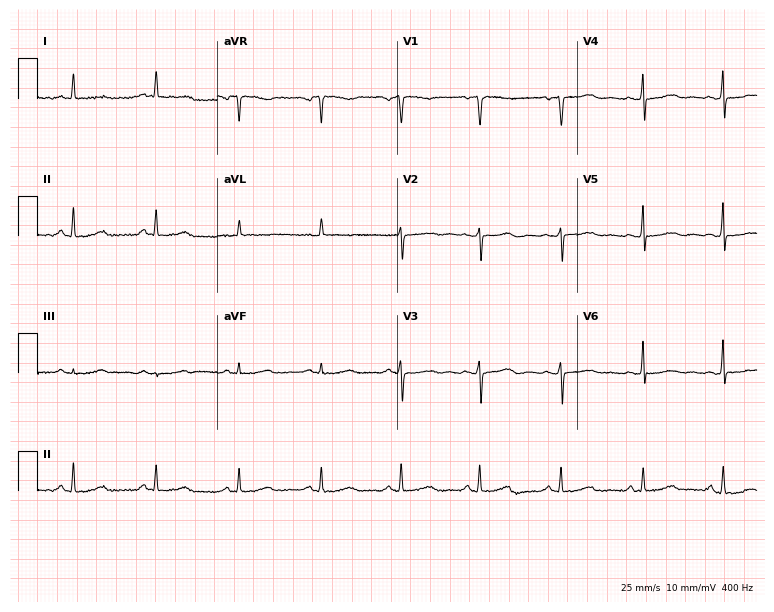
Electrocardiogram, a 48-year-old female patient. Of the six screened findings (first-degree AV block, right bundle branch block, left bundle branch block, sinus bradycardia, atrial fibrillation, sinus tachycardia), none is recorded. Only these six findings were labelled.